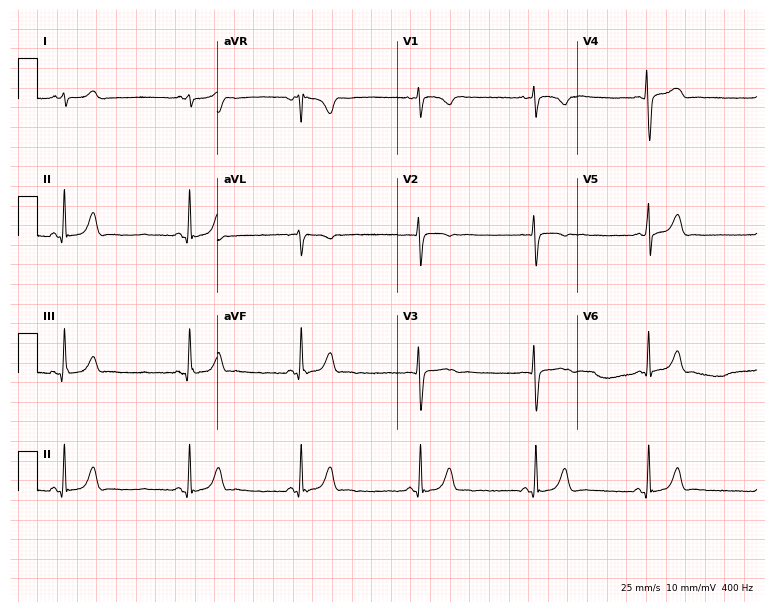
Resting 12-lead electrocardiogram (7.3-second recording at 400 Hz). Patient: a 20-year-old woman. Read as a normal ECG.